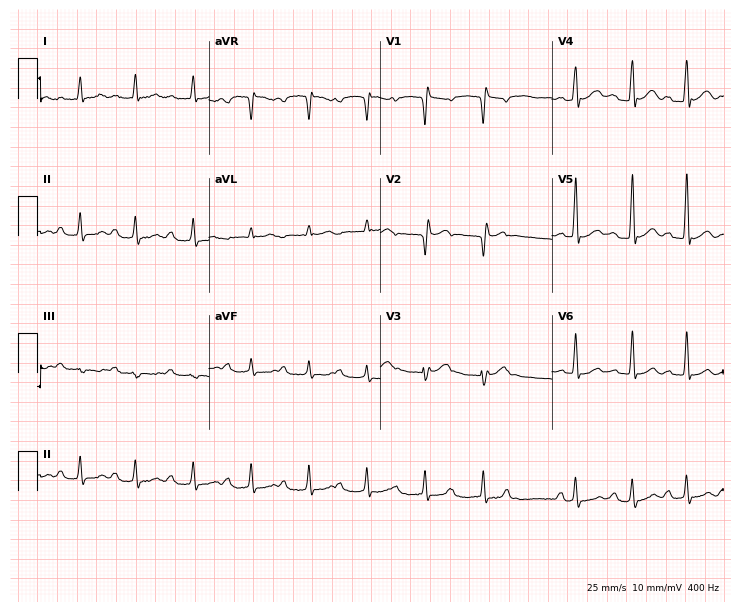
Resting 12-lead electrocardiogram (7-second recording at 400 Hz). Patient: a male, 55 years old. The tracing shows first-degree AV block.